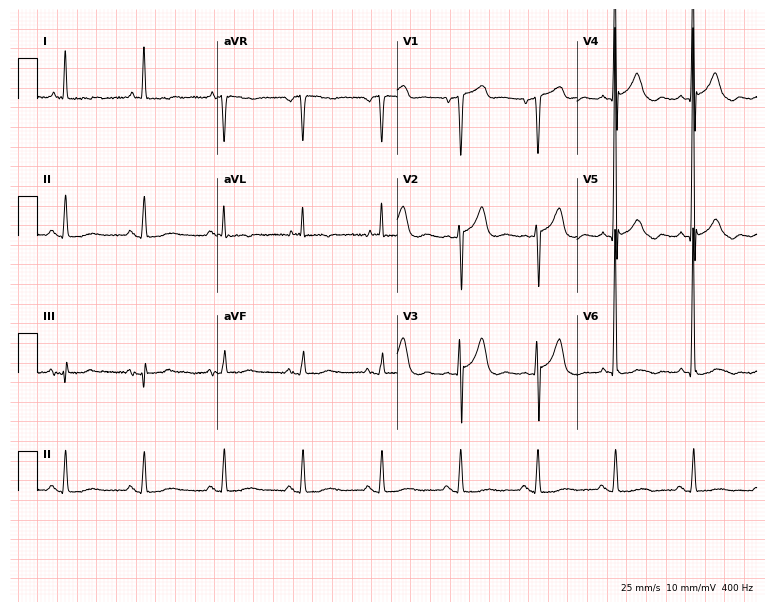
Electrocardiogram (7.3-second recording at 400 Hz), a 70-year-old man. Of the six screened findings (first-degree AV block, right bundle branch block, left bundle branch block, sinus bradycardia, atrial fibrillation, sinus tachycardia), none is recorded. Findings outside these six are not listed.